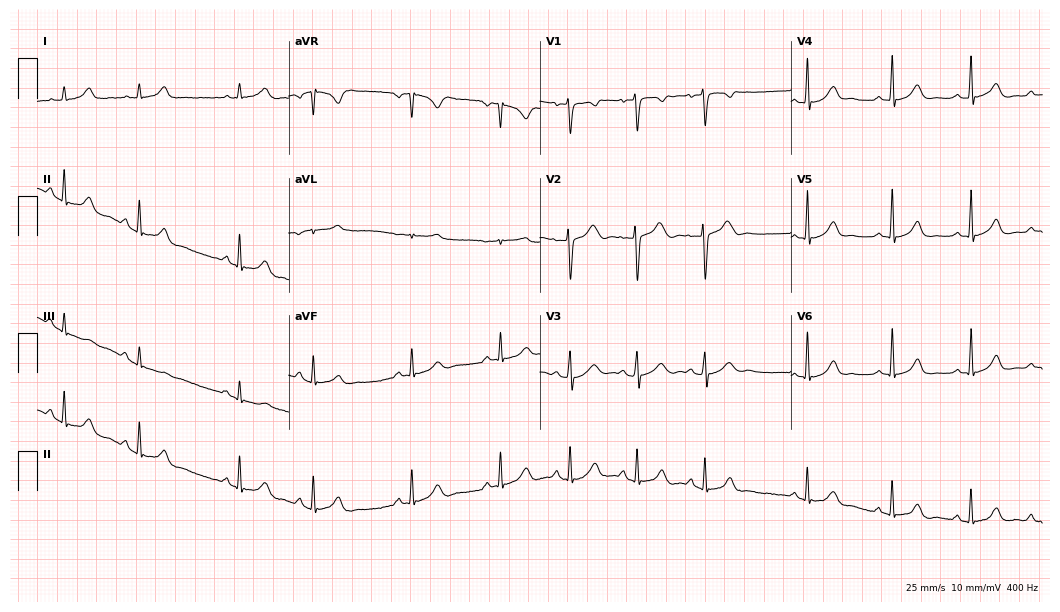
12-lead ECG from a 26-year-old female. Labelled as a normal ECG.